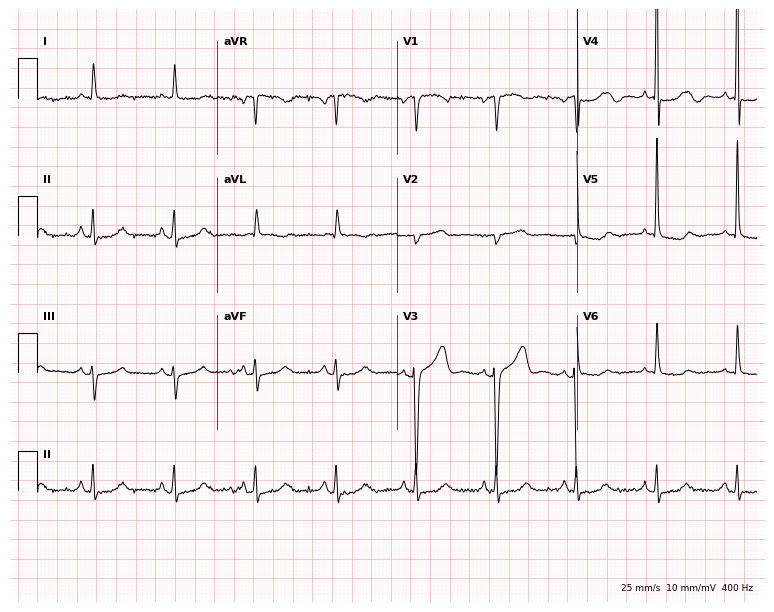
12-lead ECG from a woman, 80 years old. Screened for six findings — first-degree AV block, right bundle branch block, left bundle branch block, sinus bradycardia, atrial fibrillation, sinus tachycardia — none is recorded. Findings outside these six are not listed.